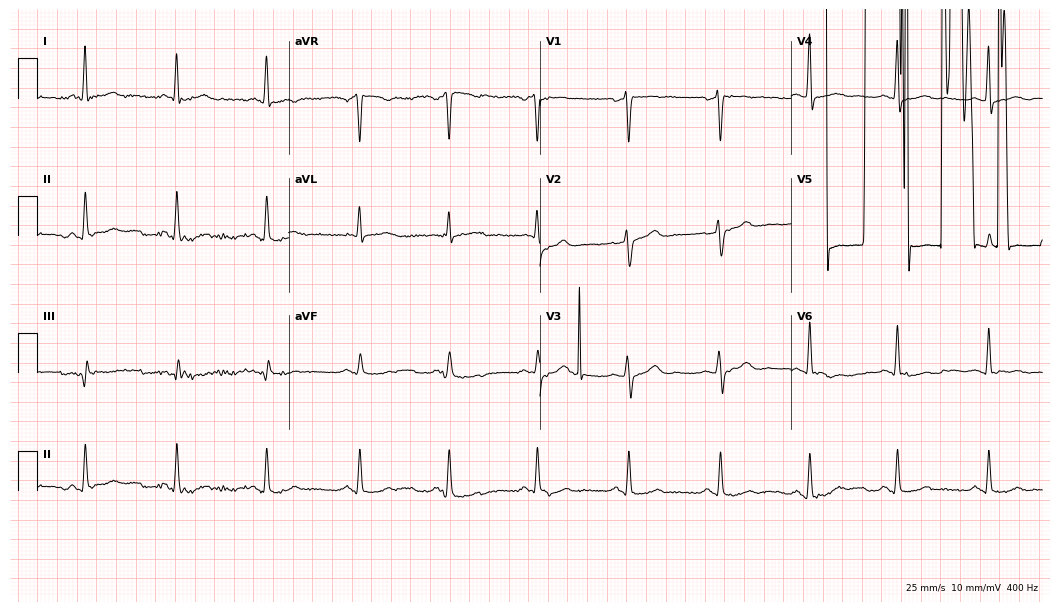
Electrocardiogram (10.2-second recording at 400 Hz), a 53-year-old man. Of the six screened findings (first-degree AV block, right bundle branch block, left bundle branch block, sinus bradycardia, atrial fibrillation, sinus tachycardia), none is recorded.